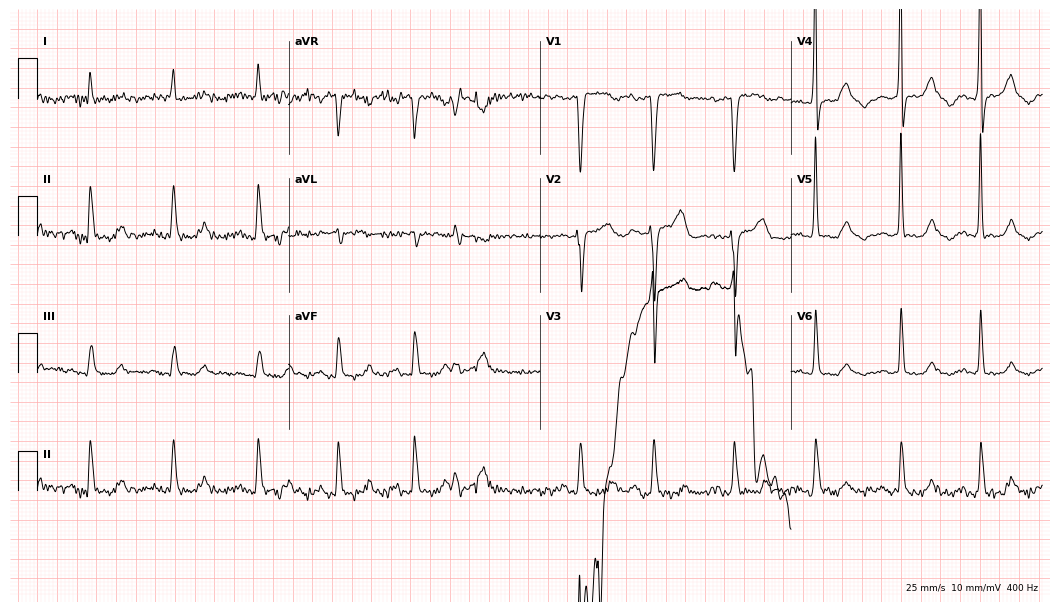
12-lead ECG (10.2-second recording at 400 Hz) from a 60-year-old female. Screened for six findings — first-degree AV block, right bundle branch block (RBBB), left bundle branch block (LBBB), sinus bradycardia, atrial fibrillation (AF), sinus tachycardia — none is recorded.